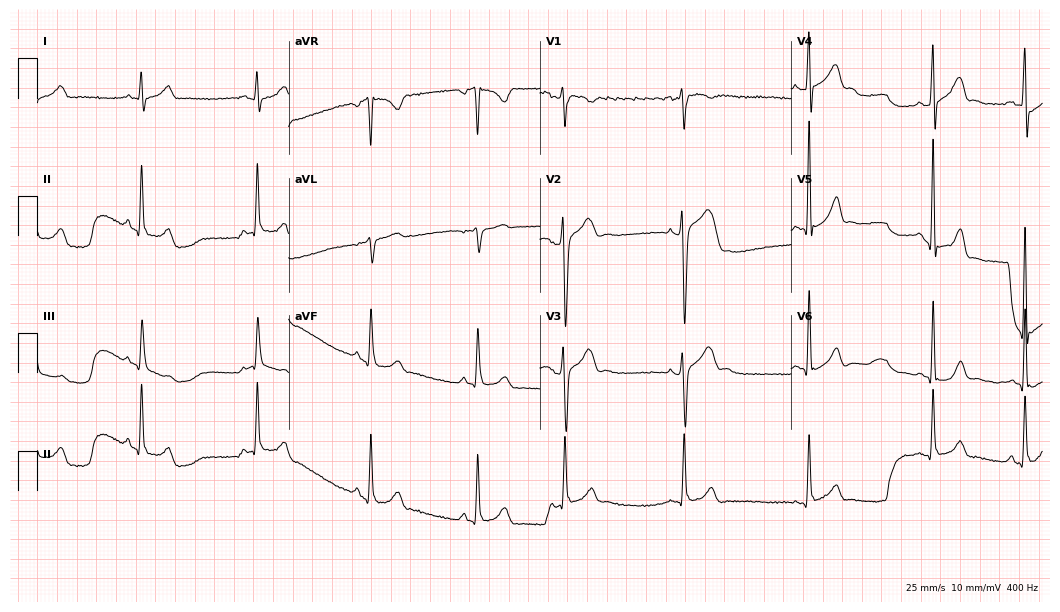
Resting 12-lead electrocardiogram. Patient: a 17-year-old male. None of these six findings is recorded: first-degree AV block, right bundle branch block, left bundle branch block, sinus bradycardia, atrial fibrillation, sinus tachycardia.